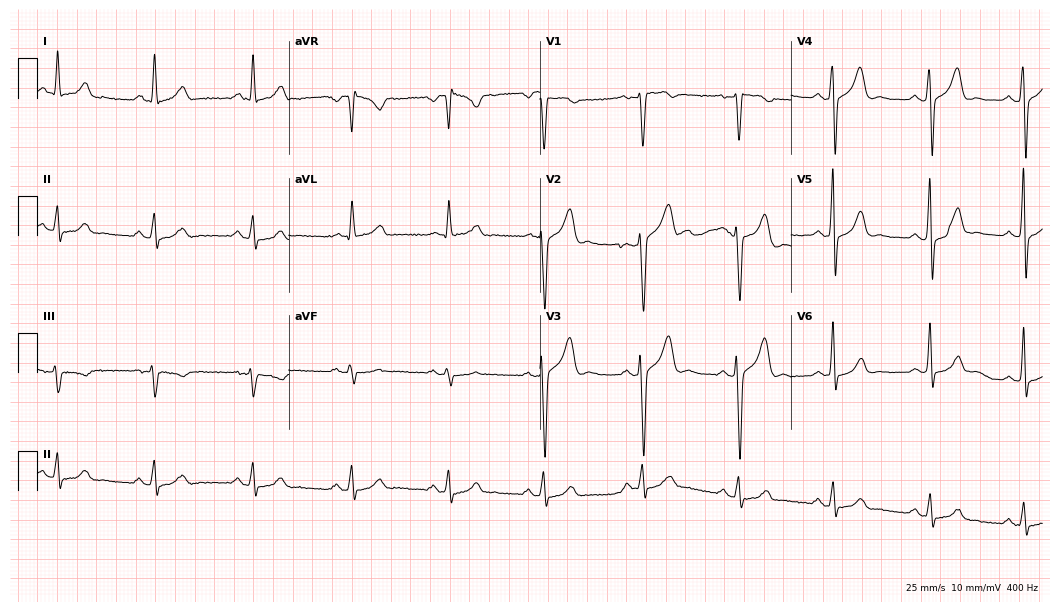
ECG (10.2-second recording at 400 Hz) — a 30-year-old man. Labelled as a normal ECG.